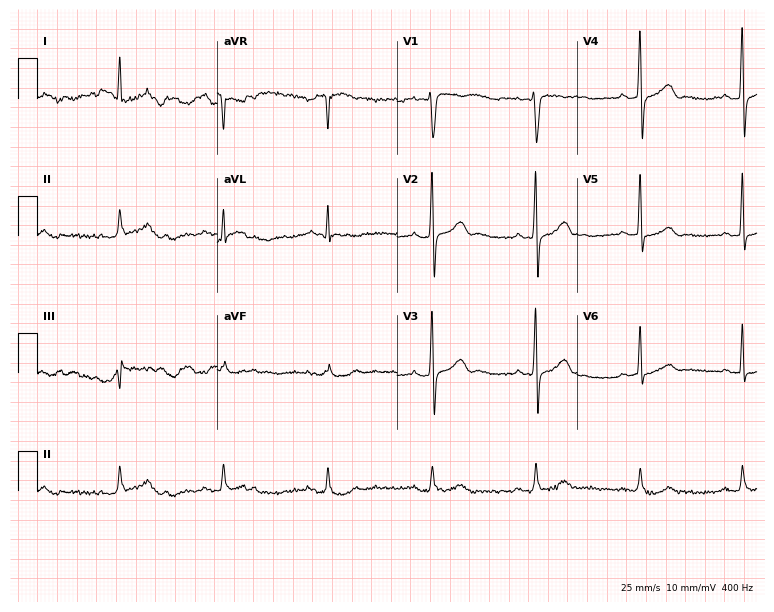
Electrocardiogram (7.3-second recording at 400 Hz), a man, 62 years old. Of the six screened findings (first-degree AV block, right bundle branch block, left bundle branch block, sinus bradycardia, atrial fibrillation, sinus tachycardia), none is recorded.